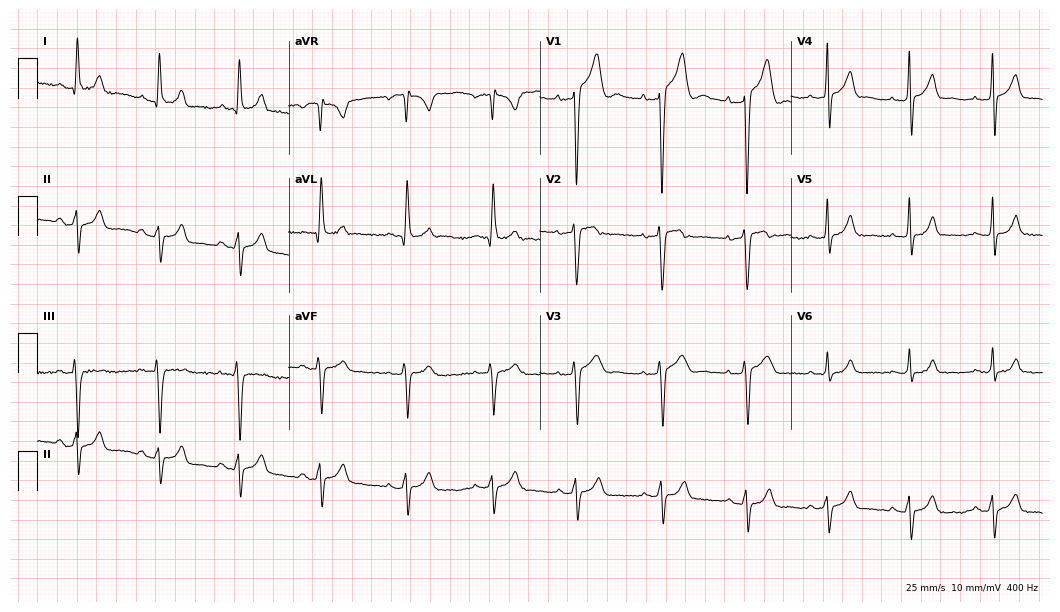
12-lead ECG from a 22-year-old male (10.2-second recording at 400 Hz). No first-degree AV block, right bundle branch block, left bundle branch block, sinus bradycardia, atrial fibrillation or sinus tachycardia recorded for this tracing. Other findings, if any, are not listed.